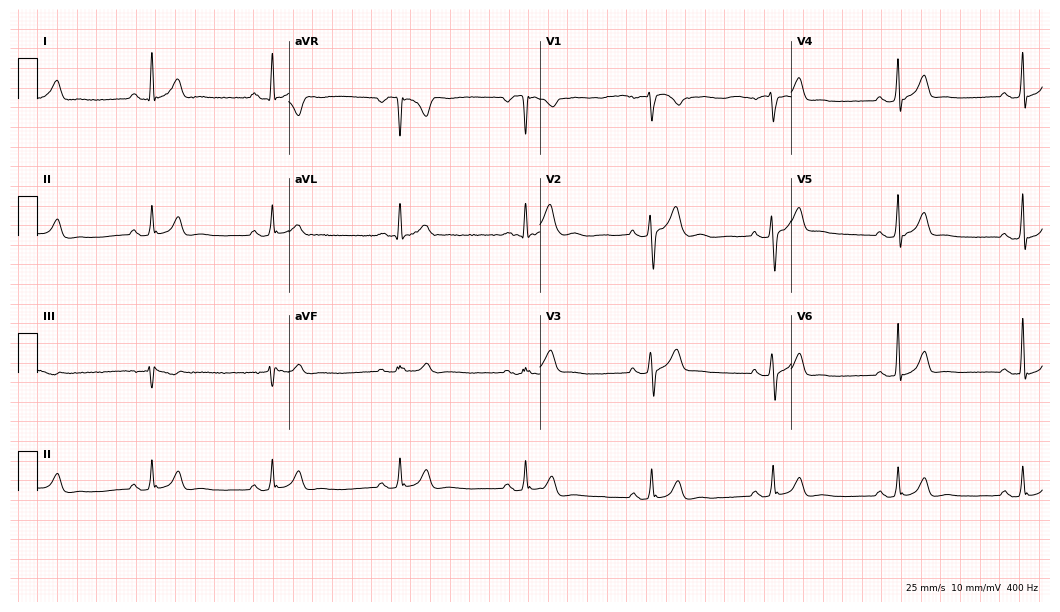
Resting 12-lead electrocardiogram (10.2-second recording at 400 Hz). Patient: a 47-year-old male. The tracing shows sinus bradycardia (a sinus rate of 50 beats per minute or less).